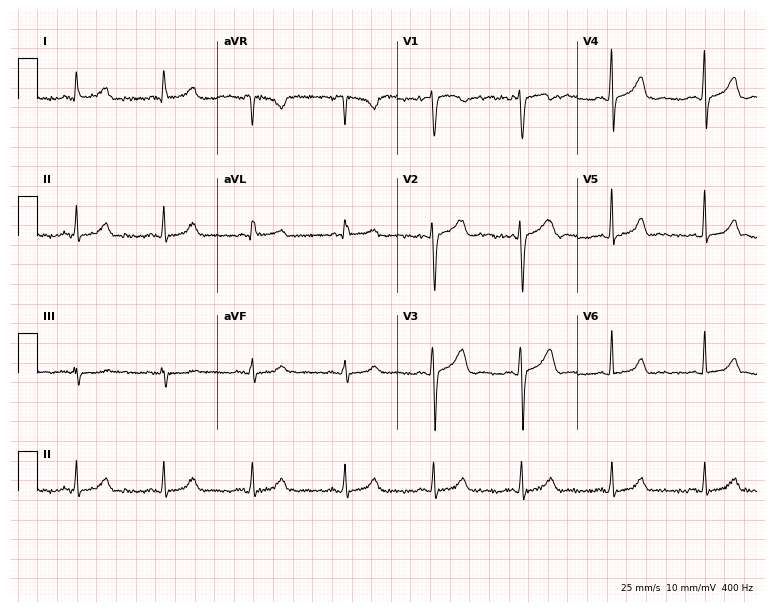
Resting 12-lead electrocardiogram. Patient: a woman, 40 years old. None of these six findings is recorded: first-degree AV block, right bundle branch block, left bundle branch block, sinus bradycardia, atrial fibrillation, sinus tachycardia. Other findings, if any, are not listed.